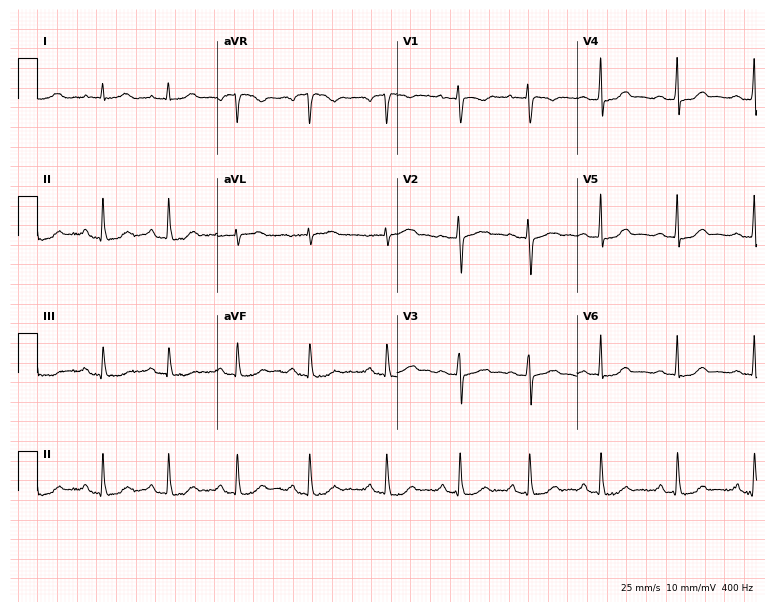
Standard 12-lead ECG recorded from a female patient, 31 years old (7.3-second recording at 400 Hz). None of these six findings is recorded: first-degree AV block, right bundle branch block, left bundle branch block, sinus bradycardia, atrial fibrillation, sinus tachycardia. Other findings, if any, are not listed.